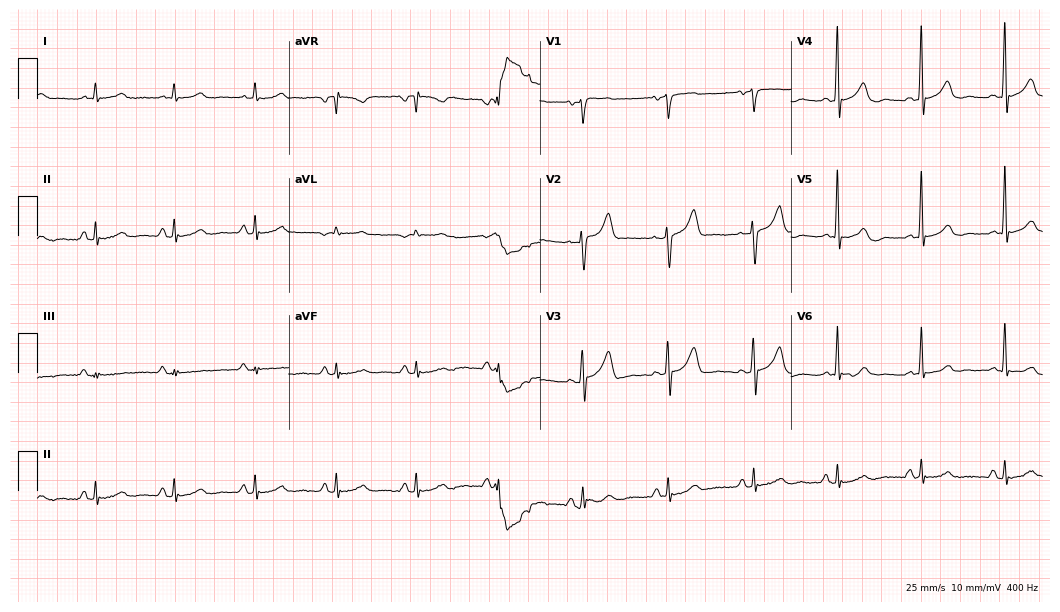
12-lead ECG from an 82-year-old man (10.2-second recording at 400 Hz). Recorded interpretation: within normal limits.